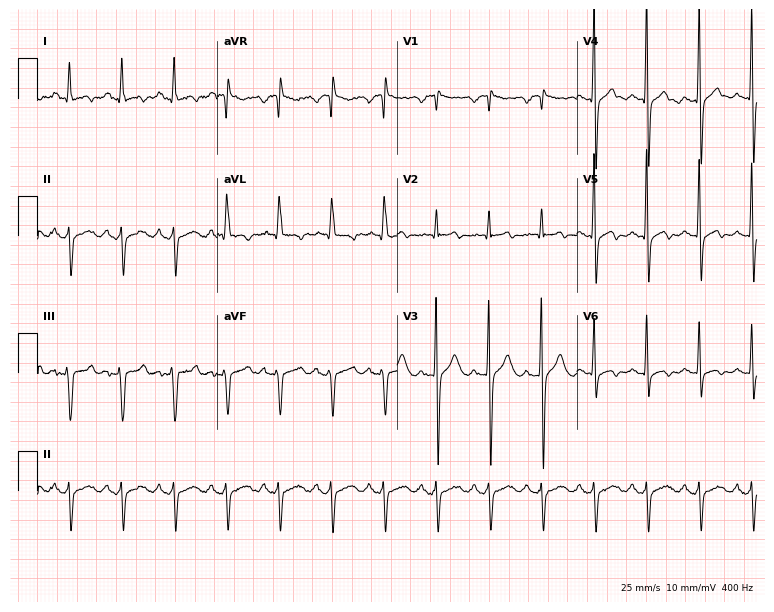
12-lead ECG (7.3-second recording at 400 Hz) from a 59-year-old male patient. Findings include sinus tachycardia (a sinus rate of 100 beats per minute or more).